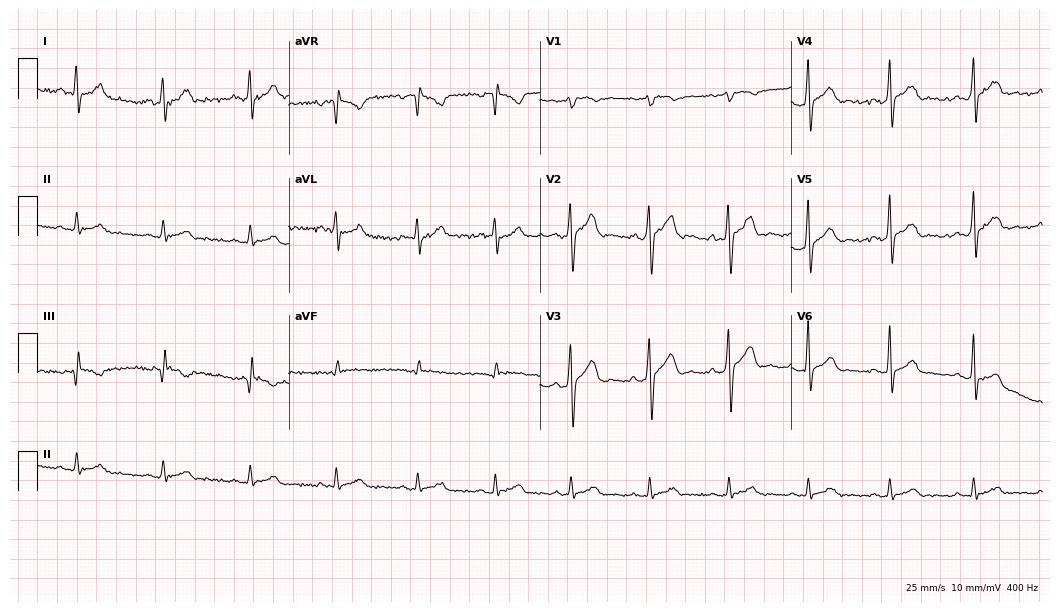
ECG (10.2-second recording at 400 Hz) — a 37-year-old male patient. Screened for six findings — first-degree AV block, right bundle branch block (RBBB), left bundle branch block (LBBB), sinus bradycardia, atrial fibrillation (AF), sinus tachycardia — none is recorded. Other findings, if any, are not listed.